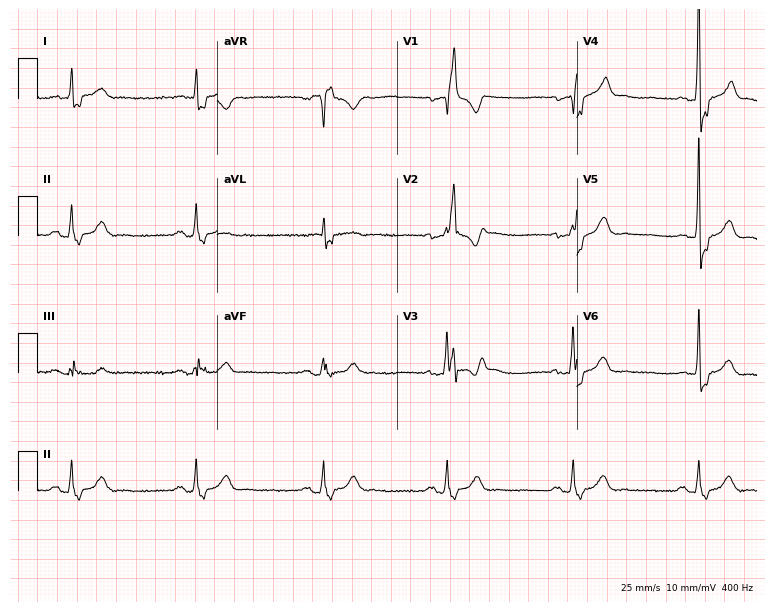
Electrocardiogram (7.3-second recording at 400 Hz), a 62-year-old man. Interpretation includes right bundle branch block.